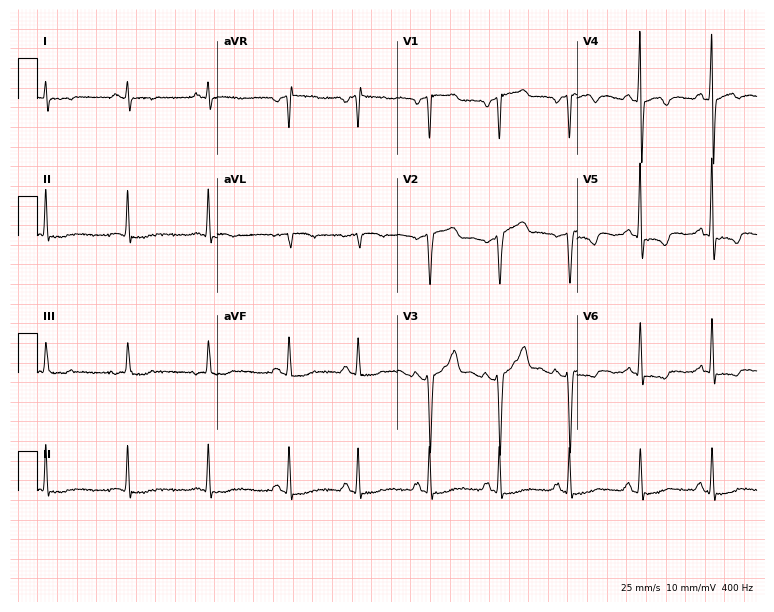
Resting 12-lead electrocardiogram (7.3-second recording at 400 Hz). Patient: a 63-year-old male. None of these six findings is recorded: first-degree AV block, right bundle branch block, left bundle branch block, sinus bradycardia, atrial fibrillation, sinus tachycardia. Other findings, if any, are not listed.